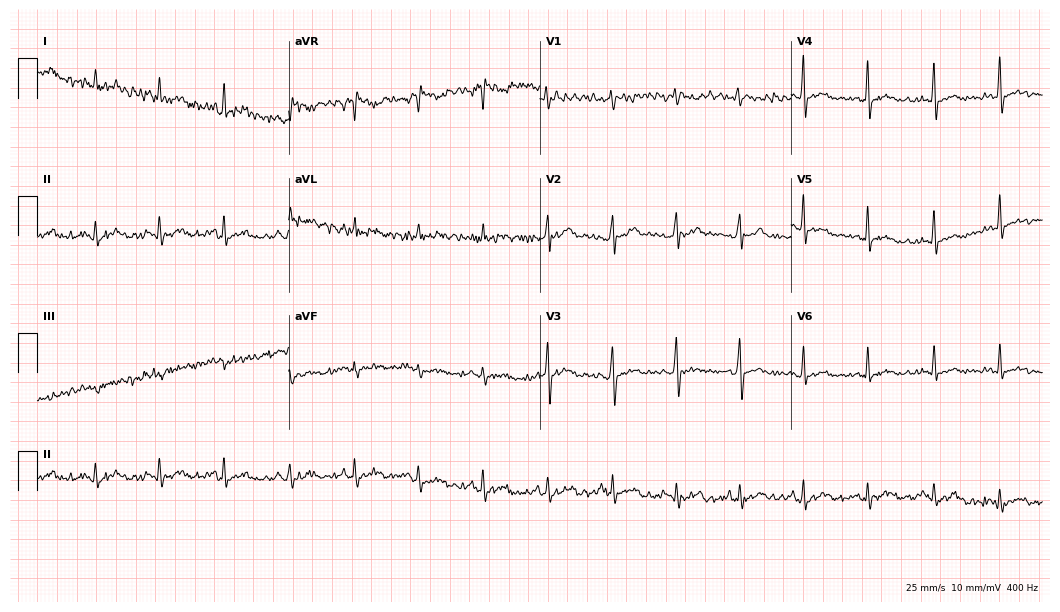
12-lead ECG (10.2-second recording at 400 Hz) from a male, 41 years old. Screened for six findings — first-degree AV block, right bundle branch block, left bundle branch block, sinus bradycardia, atrial fibrillation, sinus tachycardia — none is recorded.